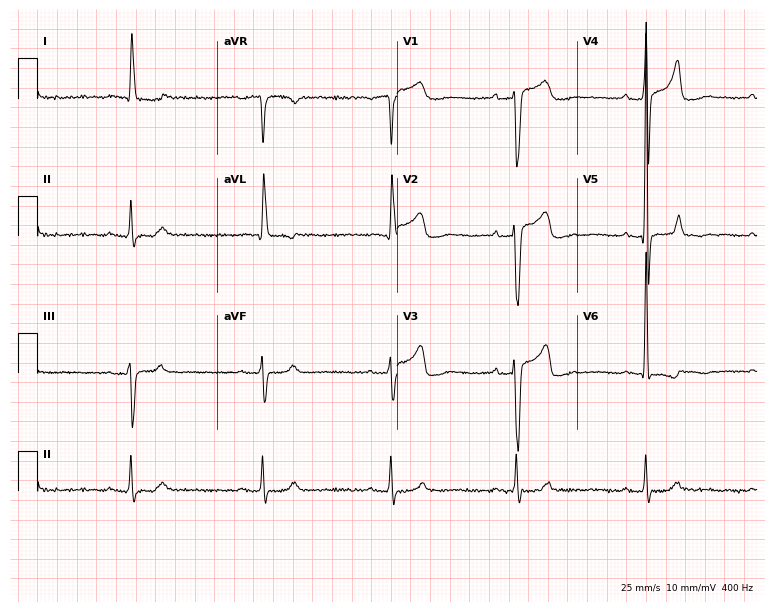
12-lead ECG from a male patient, 80 years old. Screened for six findings — first-degree AV block, right bundle branch block, left bundle branch block, sinus bradycardia, atrial fibrillation, sinus tachycardia — none is recorded. Other findings, if any, are not listed.